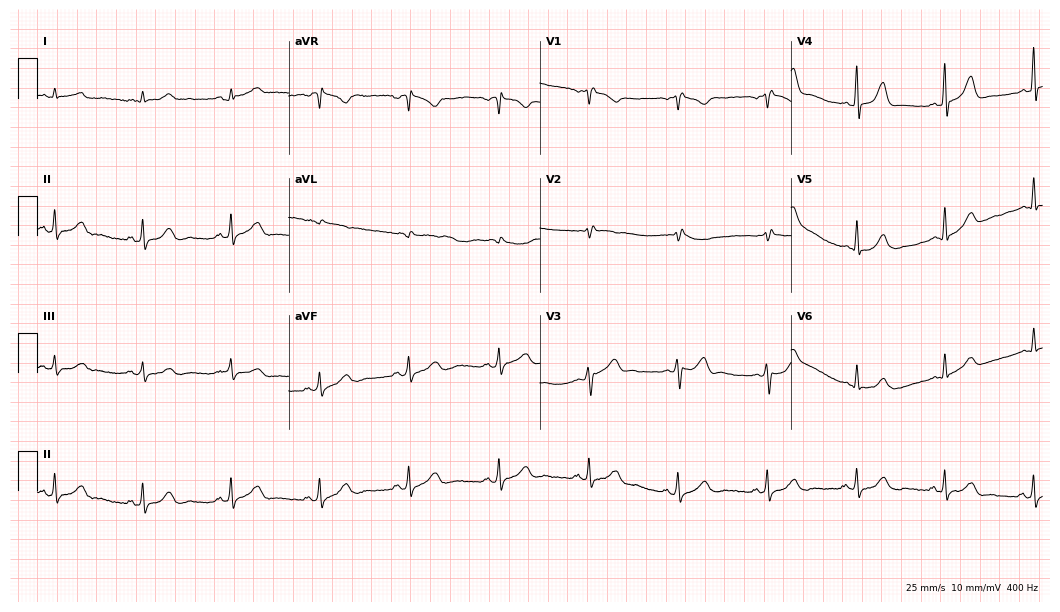
Electrocardiogram (10.2-second recording at 400 Hz), a male, 62 years old. Of the six screened findings (first-degree AV block, right bundle branch block, left bundle branch block, sinus bradycardia, atrial fibrillation, sinus tachycardia), none is recorded. Findings outside these six are not listed.